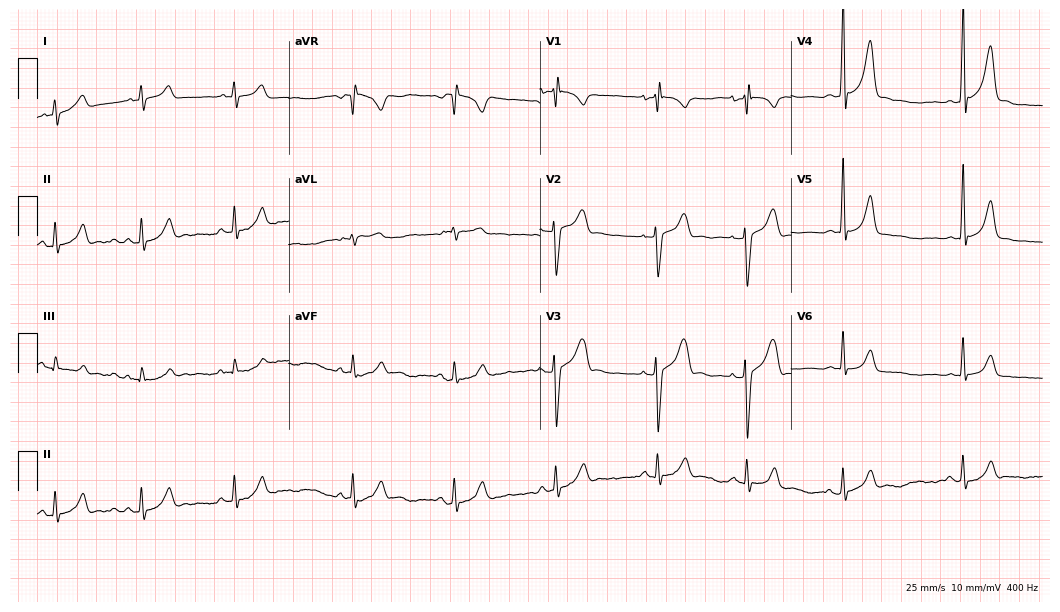
ECG — a 22-year-old male patient. Screened for six findings — first-degree AV block, right bundle branch block, left bundle branch block, sinus bradycardia, atrial fibrillation, sinus tachycardia — none is recorded. Other findings, if any, are not listed.